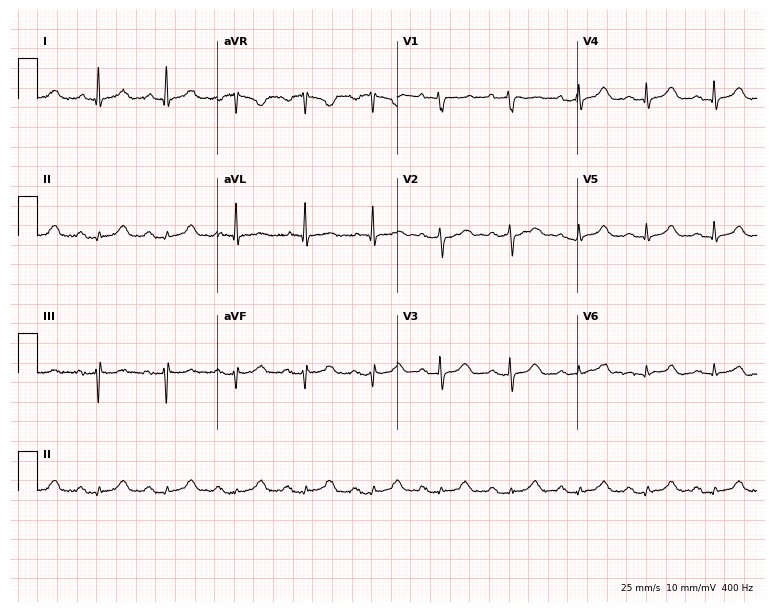
Resting 12-lead electrocardiogram (7.3-second recording at 400 Hz). Patient: a 79-year-old female. None of these six findings is recorded: first-degree AV block, right bundle branch block, left bundle branch block, sinus bradycardia, atrial fibrillation, sinus tachycardia.